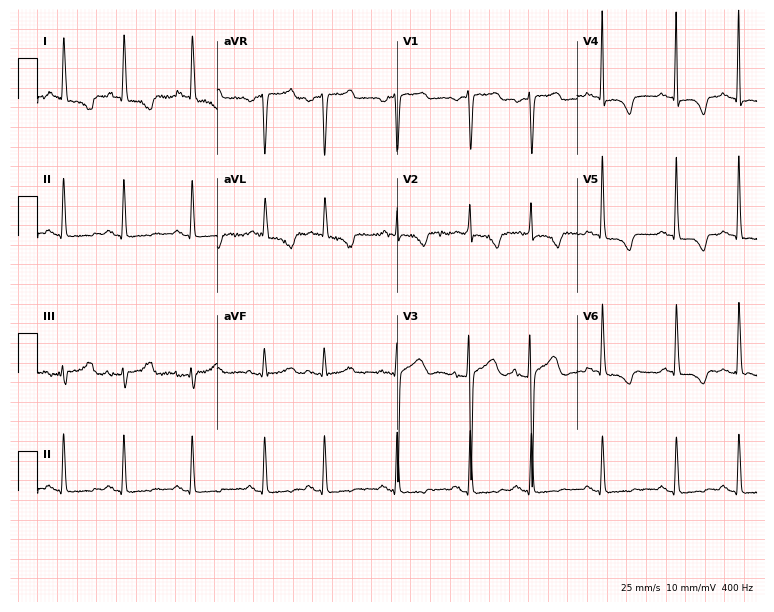
Resting 12-lead electrocardiogram (7.3-second recording at 400 Hz). Patient: an 84-year-old woman. None of these six findings is recorded: first-degree AV block, right bundle branch block (RBBB), left bundle branch block (LBBB), sinus bradycardia, atrial fibrillation (AF), sinus tachycardia.